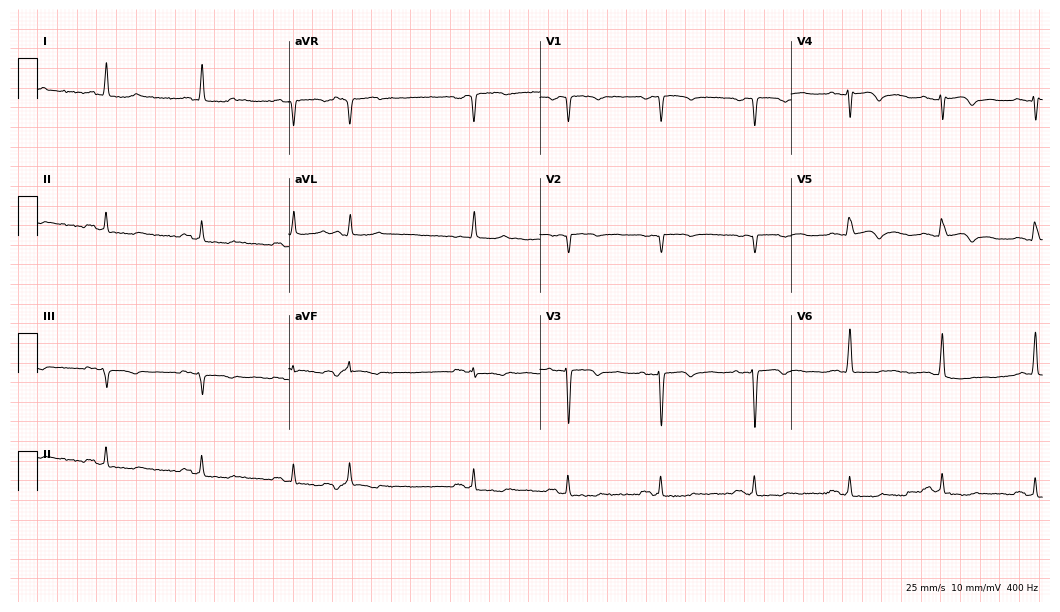
ECG — a 57-year-old female patient. Screened for six findings — first-degree AV block, right bundle branch block, left bundle branch block, sinus bradycardia, atrial fibrillation, sinus tachycardia — none is recorded.